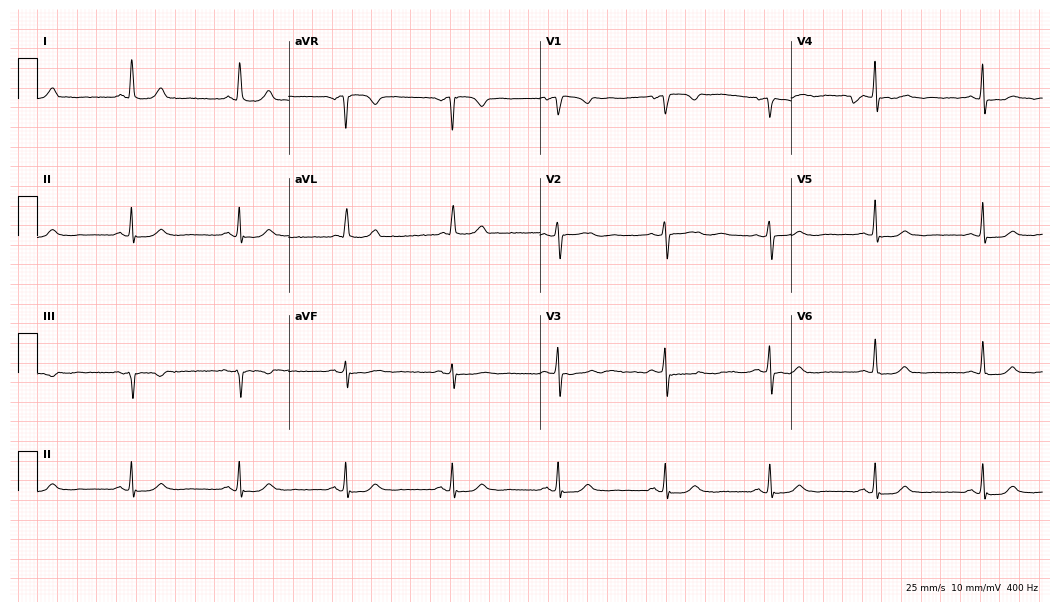
Electrocardiogram (10.2-second recording at 400 Hz), a 65-year-old female. Of the six screened findings (first-degree AV block, right bundle branch block, left bundle branch block, sinus bradycardia, atrial fibrillation, sinus tachycardia), none is recorded. Findings outside these six are not listed.